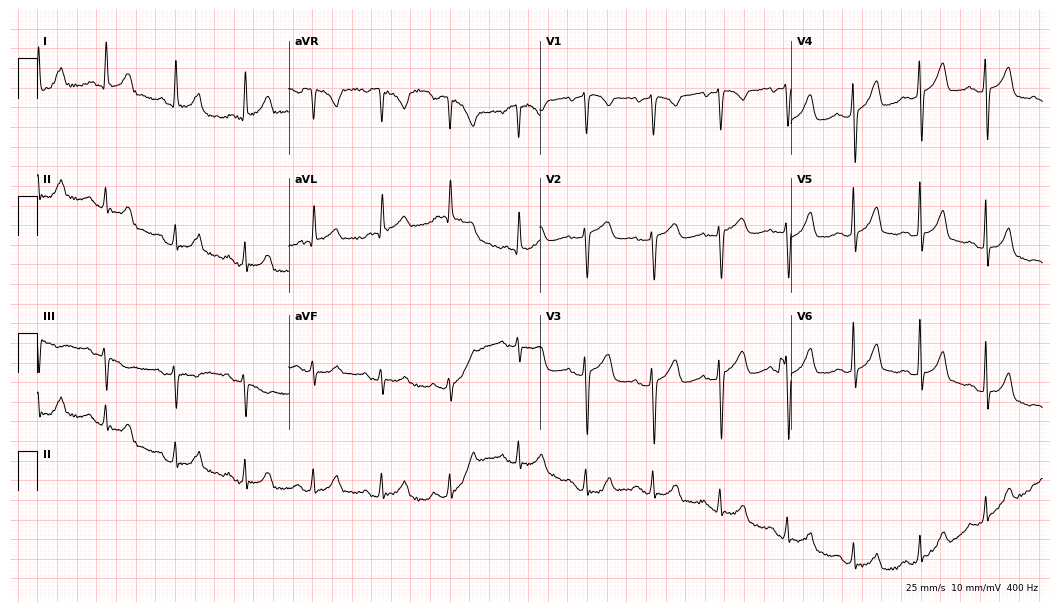
12-lead ECG from a 67-year-old woman. No first-degree AV block, right bundle branch block, left bundle branch block, sinus bradycardia, atrial fibrillation or sinus tachycardia recorded for this tracing.